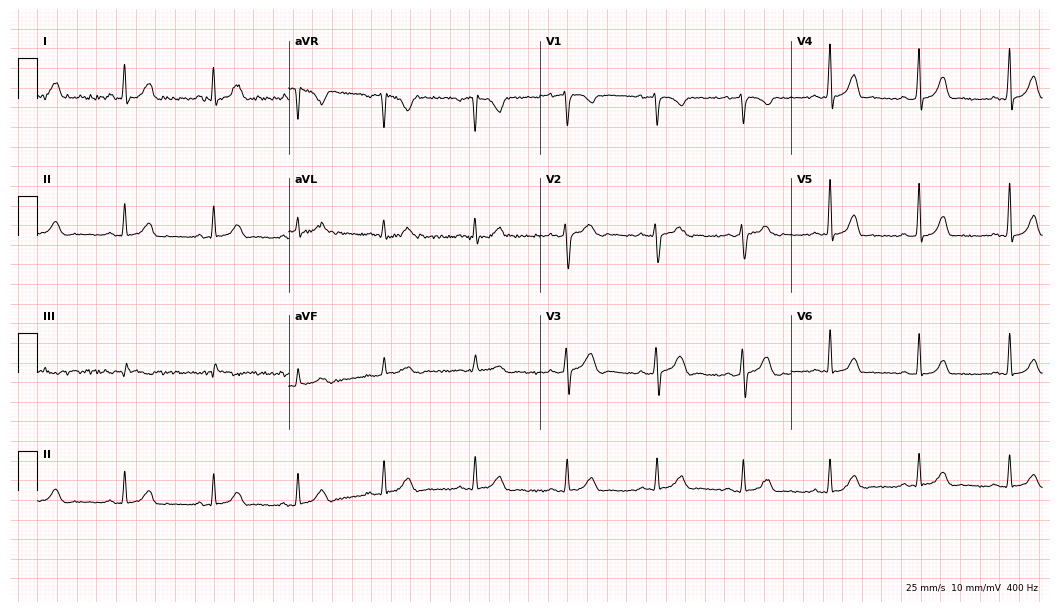
Standard 12-lead ECG recorded from a female patient, 30 years old. Read as a normal ECG.